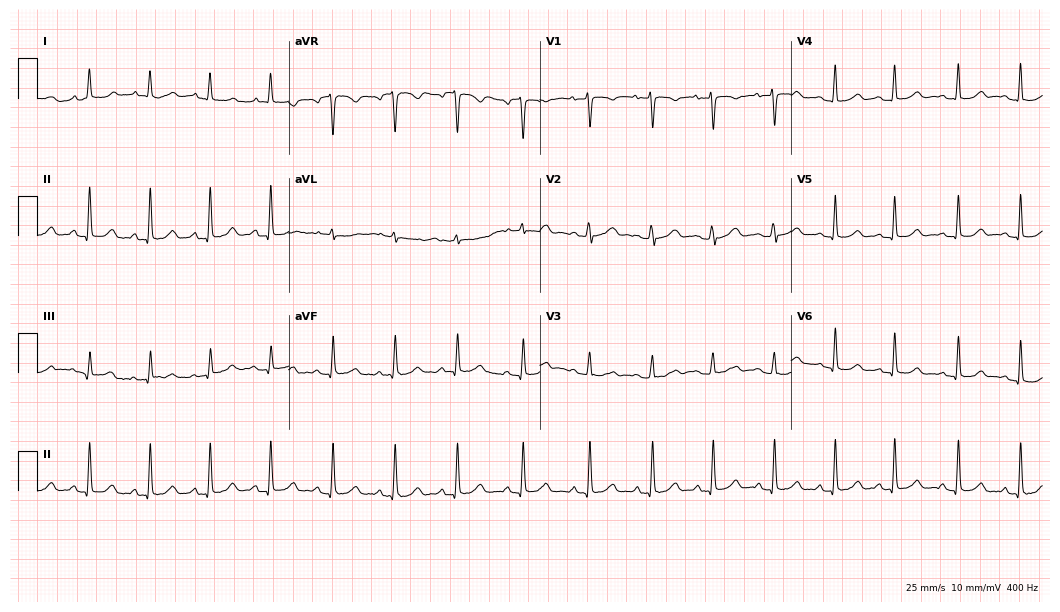
12-lead ECG from a 26-year-old woman. Labelled as a normal ECG.